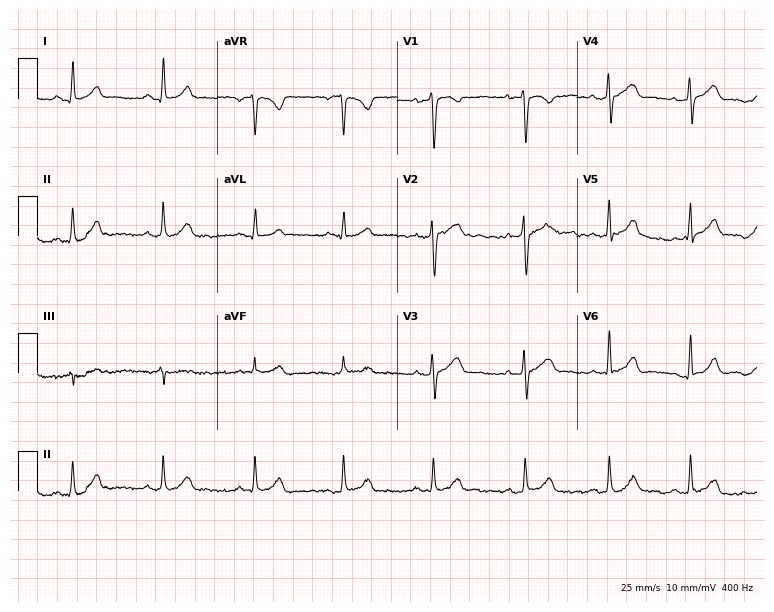
12-lead ECG (7.3-second recording at 400 Hz) from a female patient, 31 years old. Screened for six findings — first-degree AV block, right bundle branch block, left bundle branch block, sinus bradycardia, atrial fibrillation, sinus tachycardia — none is recorded.